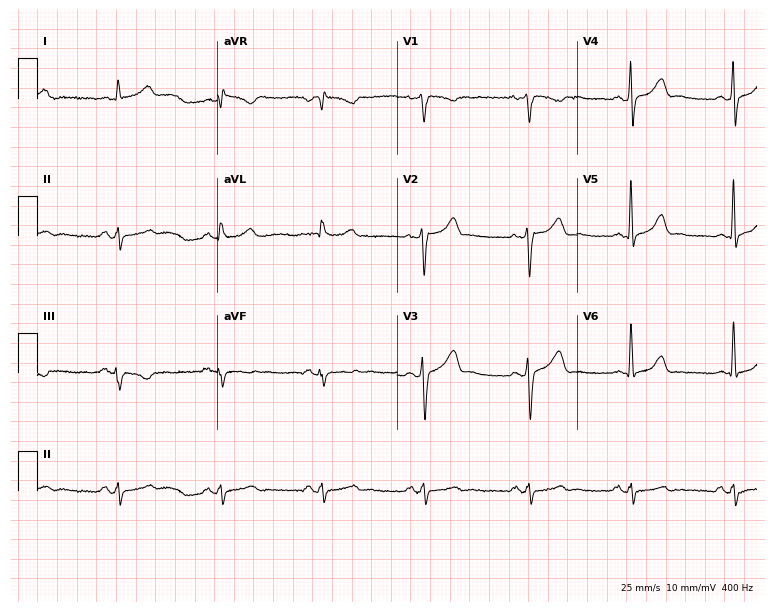
Electrocardiogram, a male patient, 55 years old. Of the six screened findings (first-degree AV block, right bundle branch block, left bundle branch block, sinus bradycardia, atrial fibrillation, sinus tachycardia), none is recorded.